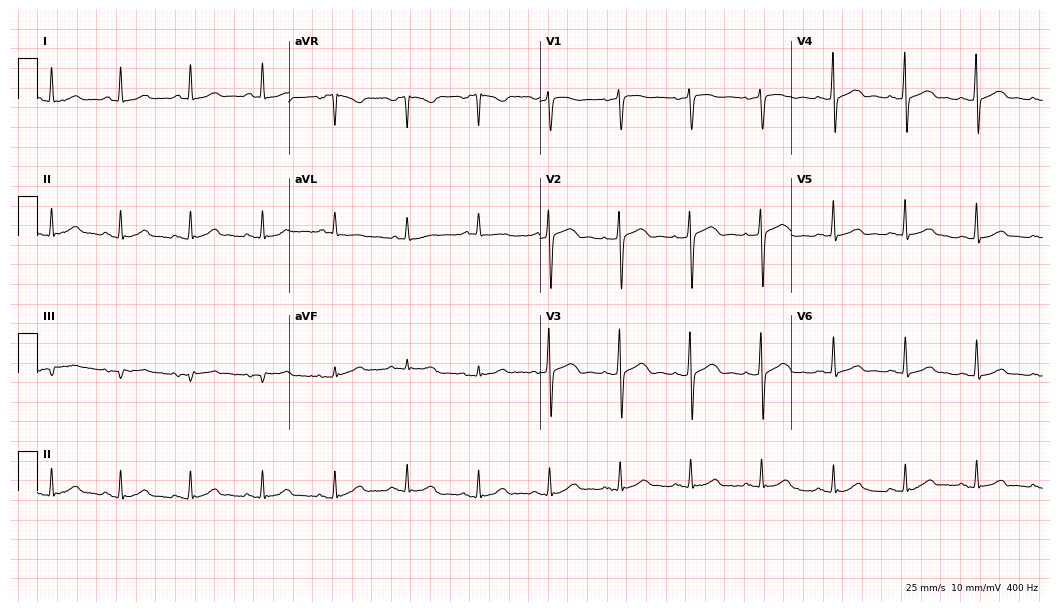
Electrocardiogram (10.2-second recording at 400 Hz), a 63-year-old female. Overall reading on record: normal ECG.